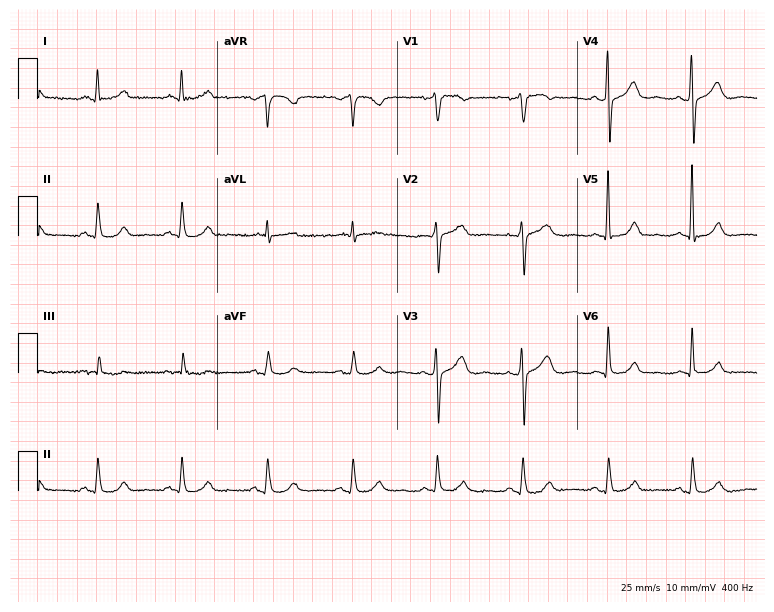
12-lead ECG from a woman, 76 years old (7.3-second recording at 400 Hz). Recorded interpretation: within normal limits.